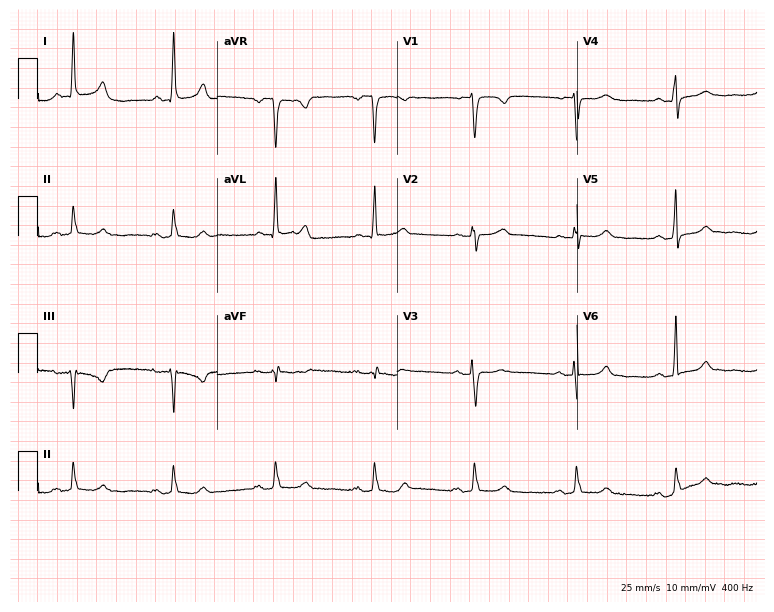
Resting 12-lead electrocardiogram (7.3-second recording at 400 Hz). Patient: a woman, 73 years old. None of these six findings is recorded: first-degree AV block, right bundle branch block, left bundle branch block, sinus bradycardia, atrial fibrillation, sinus tachycardia. Only these six findings were labelled.